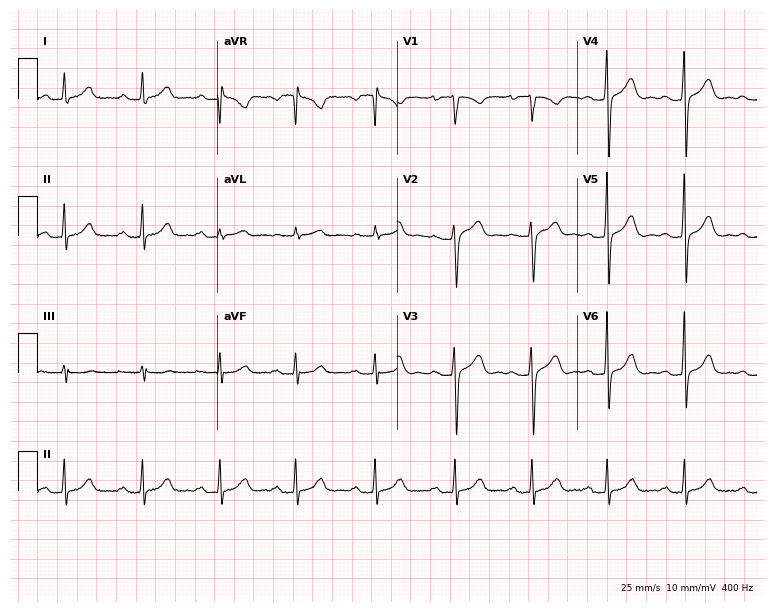
Electrocardiogram (7.3-second recording at 400 Hz), a female patient, 37 years old. Of the six screened findings (first-degree AV block, right bundle branch block, left bundle branch block, sinus bradycardia, atrial fibrillation, sinus tachycardia), none is recorded.